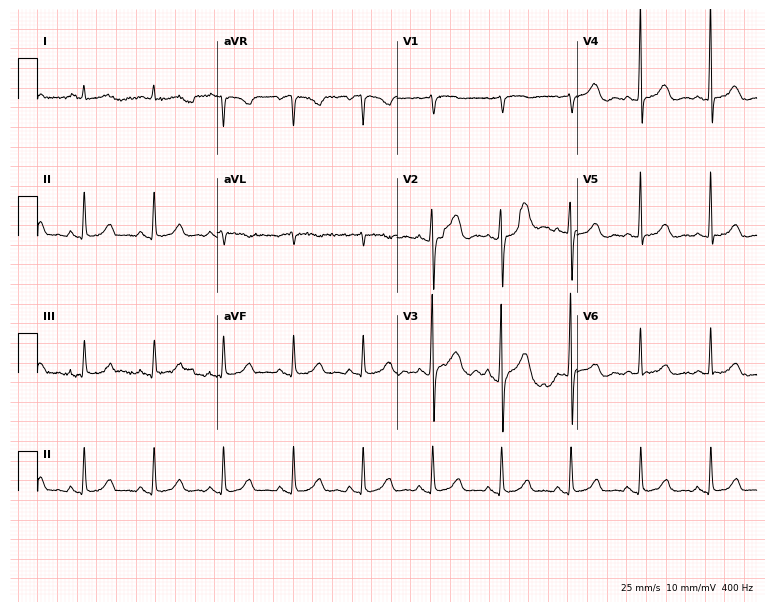
Electrocardiogram (7.3-second recording at 400 Hz), a female patient, 83 years old. Overall reading on record: normal ECG.